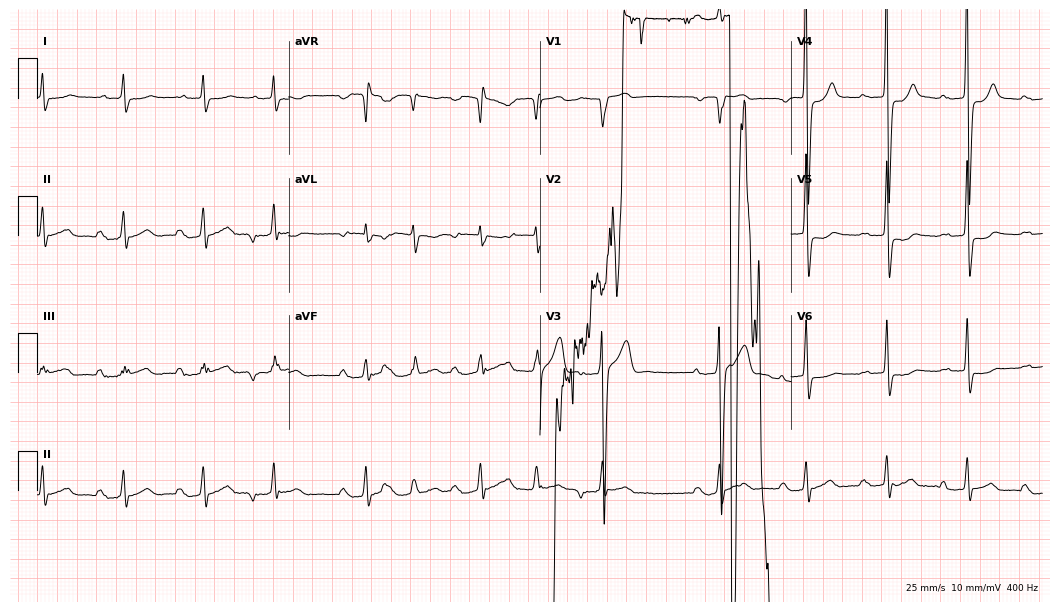
Resting 12-lead electrocardiogram (10.2-second recording at 400 Hz). Patient: a 68-year-old man. The tracing shows first-degree AV block.